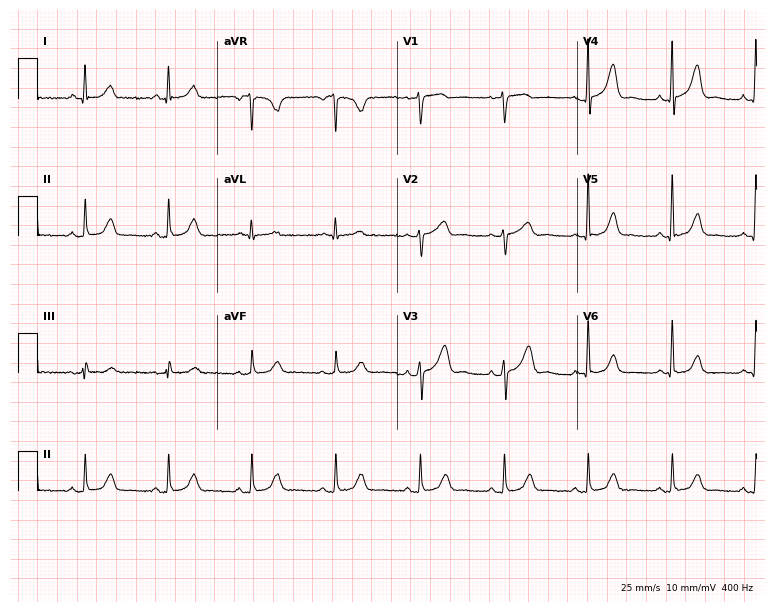
12-lead ECG from a 60-year-old female patient. Labelled as a normal ECG.